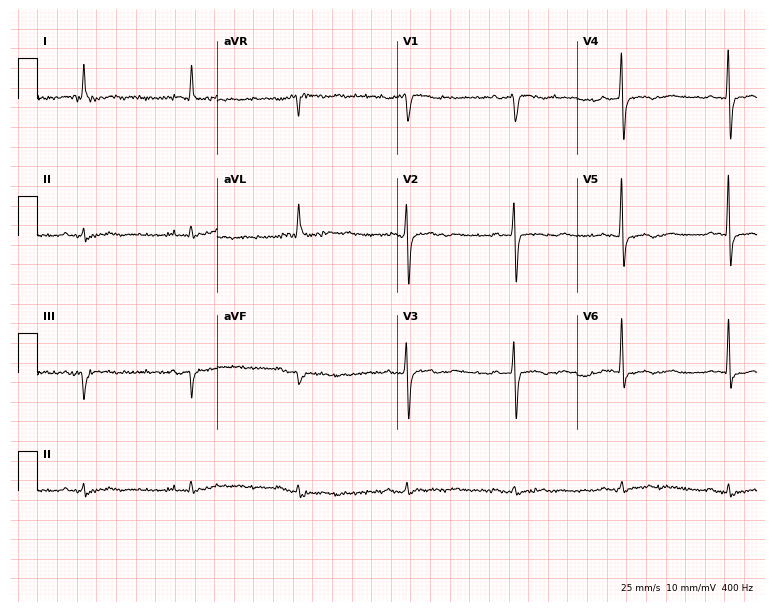
Standard 12-lead ECG recorded from a male patient, 85 years old. None of these six findings is recorded: first-degree AV block, right bundle branch block, left bundle branch block, sinus bradycardia, atrial fibrillation, sinus tachycardia.